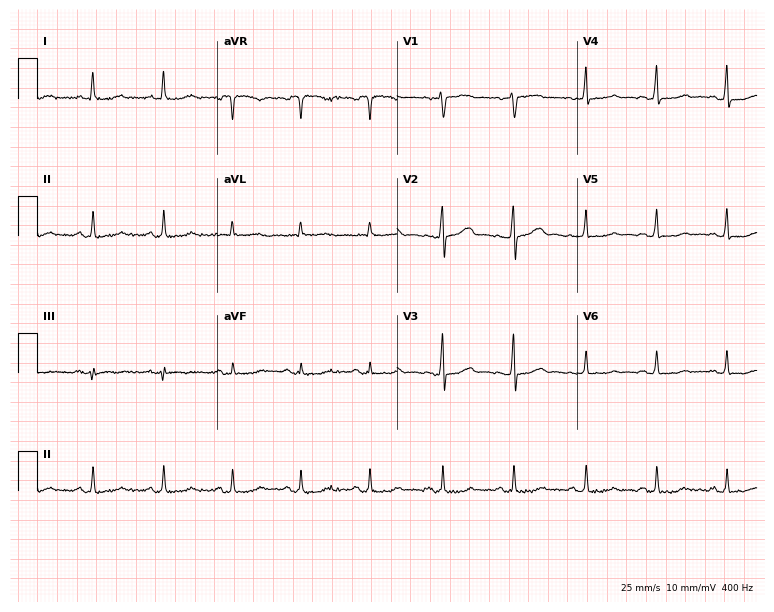
12-lead ECG from a 52-year-old woman. No first-degree AV block, right bundle branch block, left bundle branch block, sinus bradycardia, atrial fibrillation or sinus tachycardia recorded for this tracing.